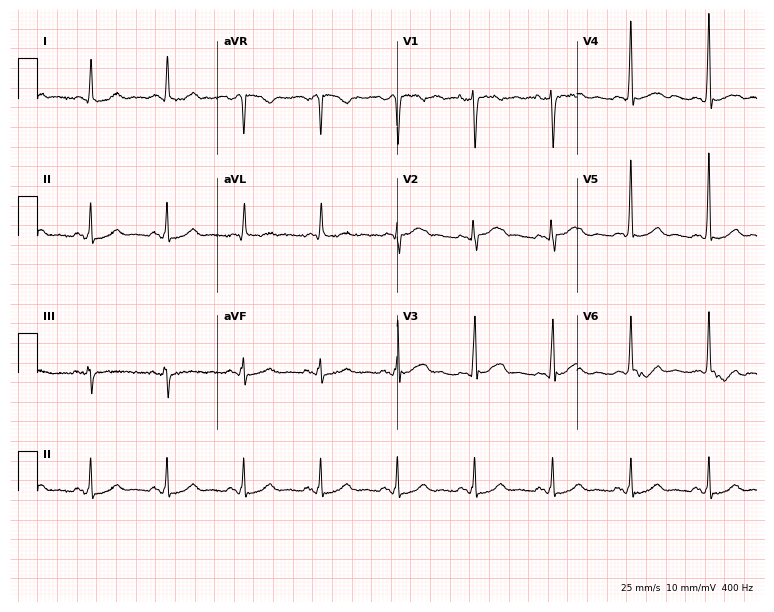
ECG (7.3-second recording at 400 Hz) — a woman, 58 years old. Screened for six findings — first-degree AV block, right bundle branch block (RBBB), left bundle branch block (LBBB), sinus bradycardia, atrial fibrillation (AF), sinus tachycardia — none is recorded.